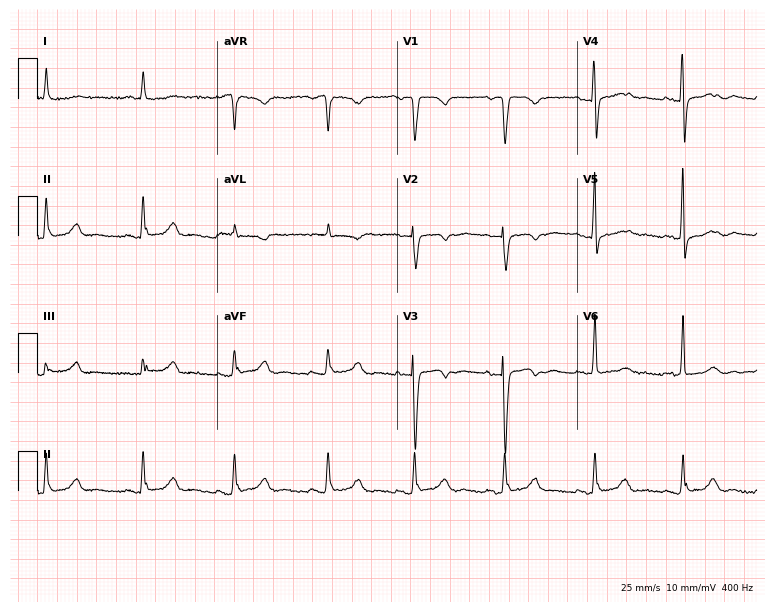
Standard 12-lead ECG recorded from a 78-year-old female (7.3-second recording at 400 Hz). None of these six findings is recorded: first-degree AV block, right bundle branch block, left bundle branch block, sinus bradycardia, atrial fibrillation, sinus tachycardia.